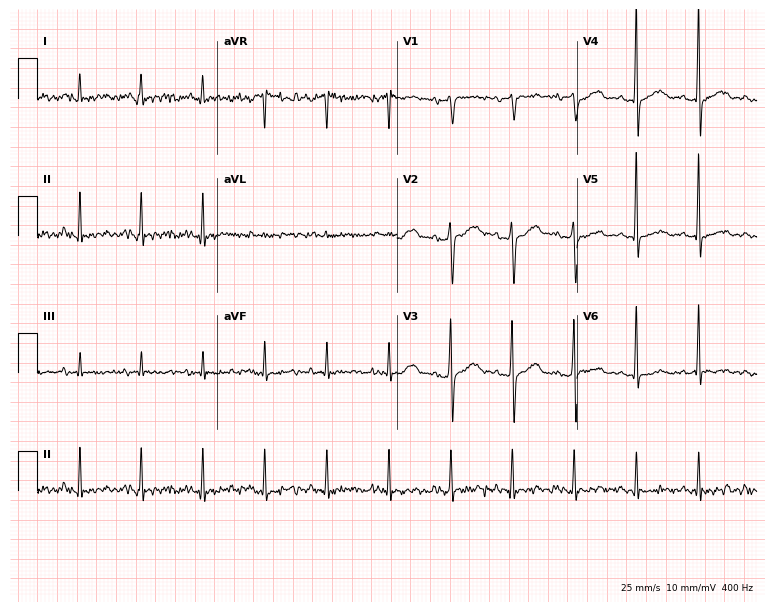
12-lead ECG from a 57-year-old female. No first-degree AV block, right bundle branch block, left bundle branch block, sinus bradycardia, atrial fibrillation or sinus tachycardia recorded for this tracing.